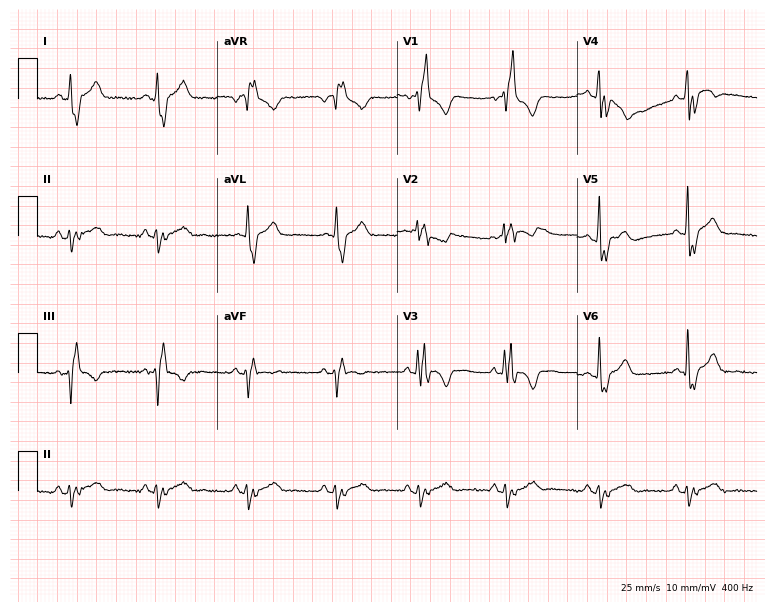
Resting 12-lead electrocardiogram (7.3-second recording at 400 Hz). Patient: a male, 23 years old. None of these six findings is recorded: first-degree AV block, right bundle branch block, left bundle branch block, sinus bradycardia, atrial fibrillation, sinus tachycardia. Other findings, if any, are not listed.